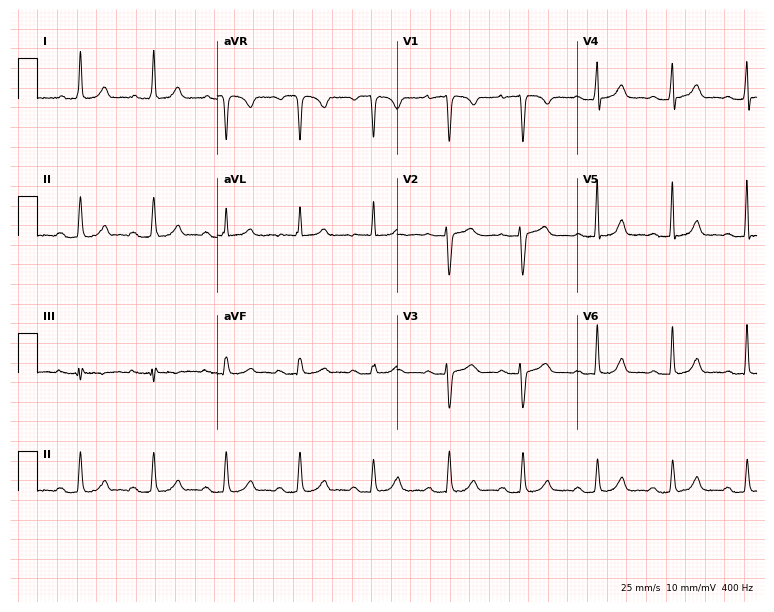
12-lead ECG from a female, 74 years old (7.3-second recording at 400 Hz). Recorded interpretation: within normal limits.